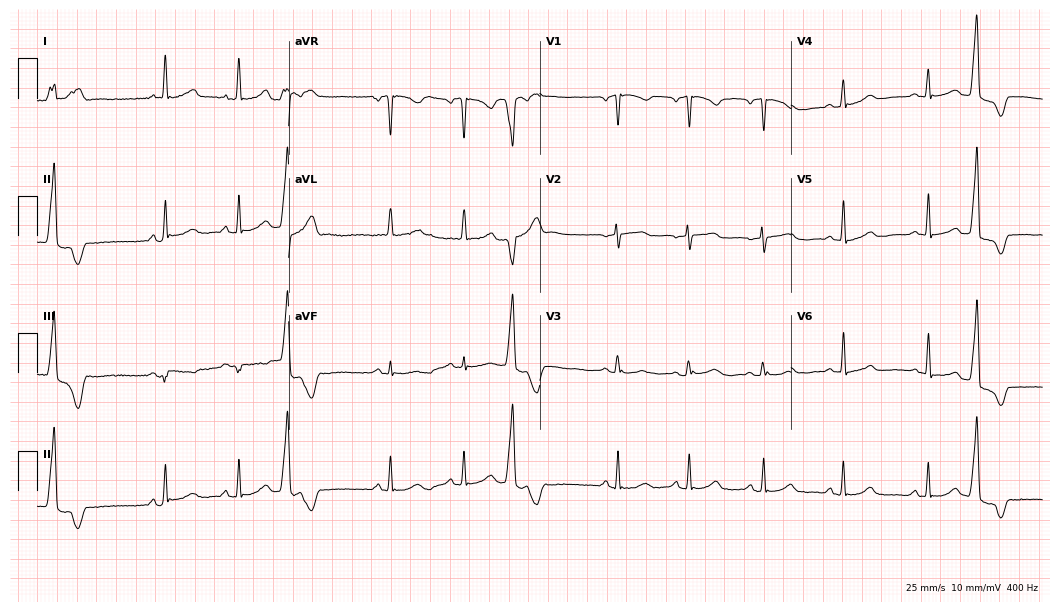
ECG (10.2-second recording at 400 Hz) — a 64-year-old woman. Screened for six findings — first-degree AV block, right bundle branch block (RBBB), left bundle branch block (LBBB), sinus bradycardia, atrial fibrillation (AF), sinus tachycardia — none is recorded. Other findings, if any, are not listed.